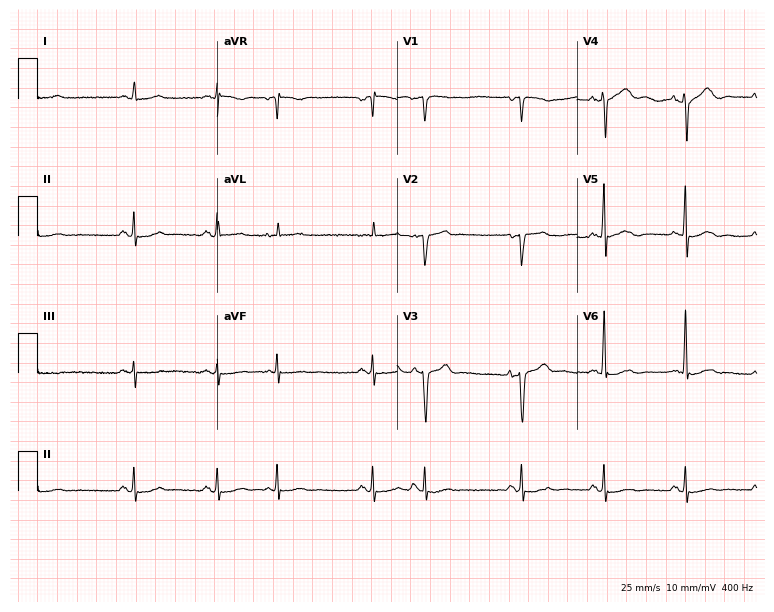
Electrocardiogram (7.3-second recording at 400 Hz), a man, 76 years old. Of the six screened findings (first-degree AV block, right bundle branch block (RBBB), left bundle branch block (LBBB), sinus bradycardia, atrial fibrillation (AF), sinus tachycardia), none is recorded. Findings outside these six are not listed.